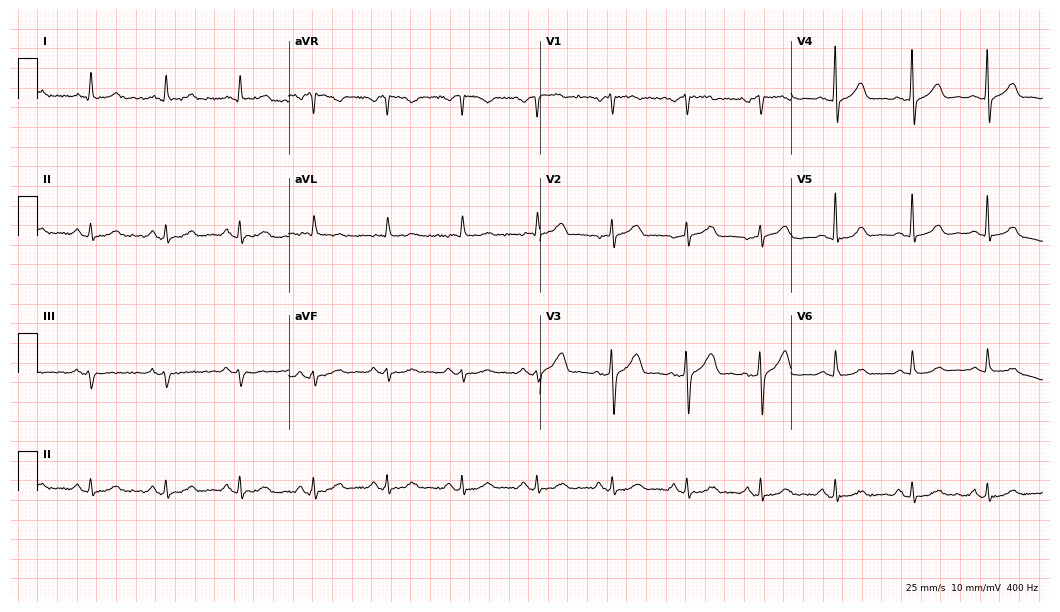
Electrocardiogram (10.2-second recording at 400 Hz), a male, 69 years old. Overall reading on record: normal ECG.